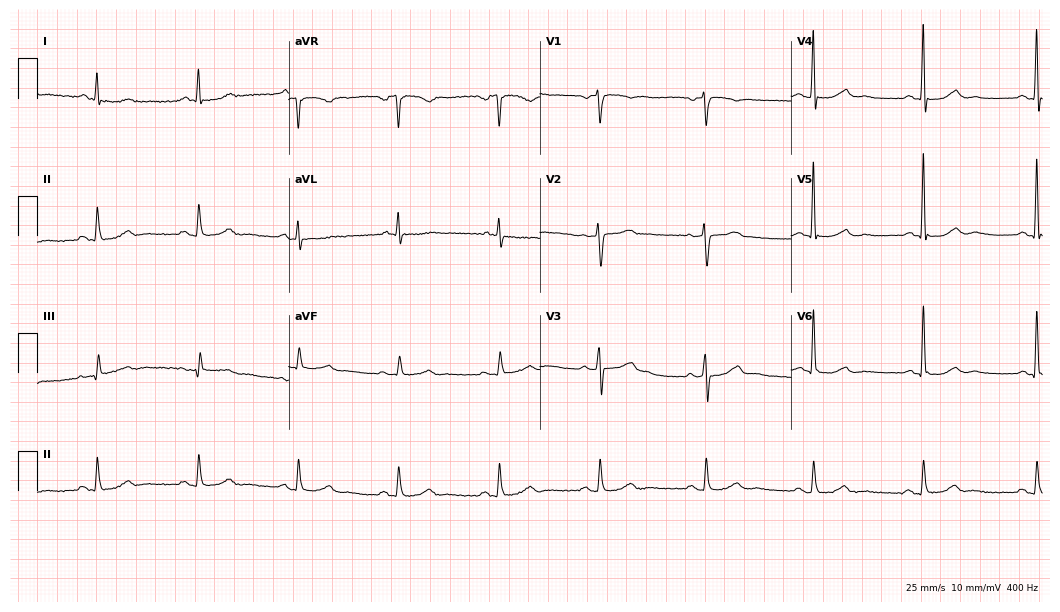
ECG (10.2-second recording at 400 Hz) — a 70-year-old male. Labelled as a normal ECG.